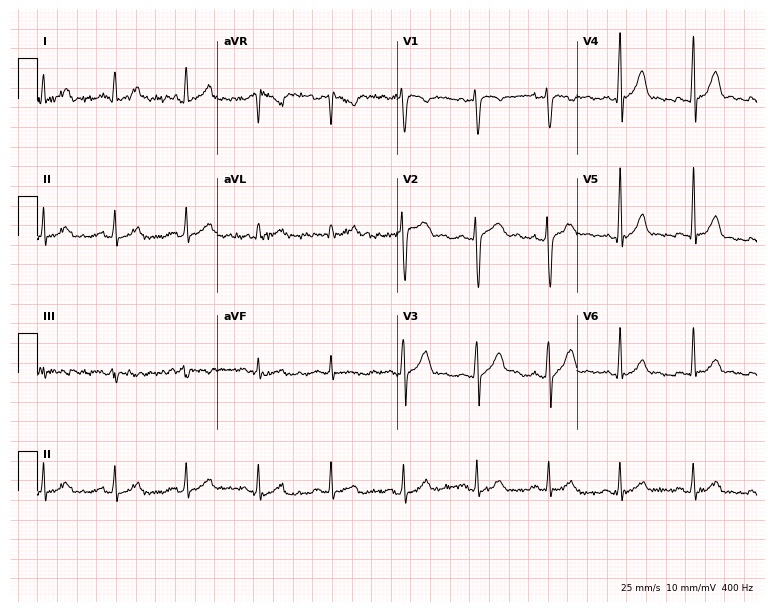
12-lead ECG (7.3-second recording at 400 Hz) from a male, 28 years old. Labelled as a normal ECG.